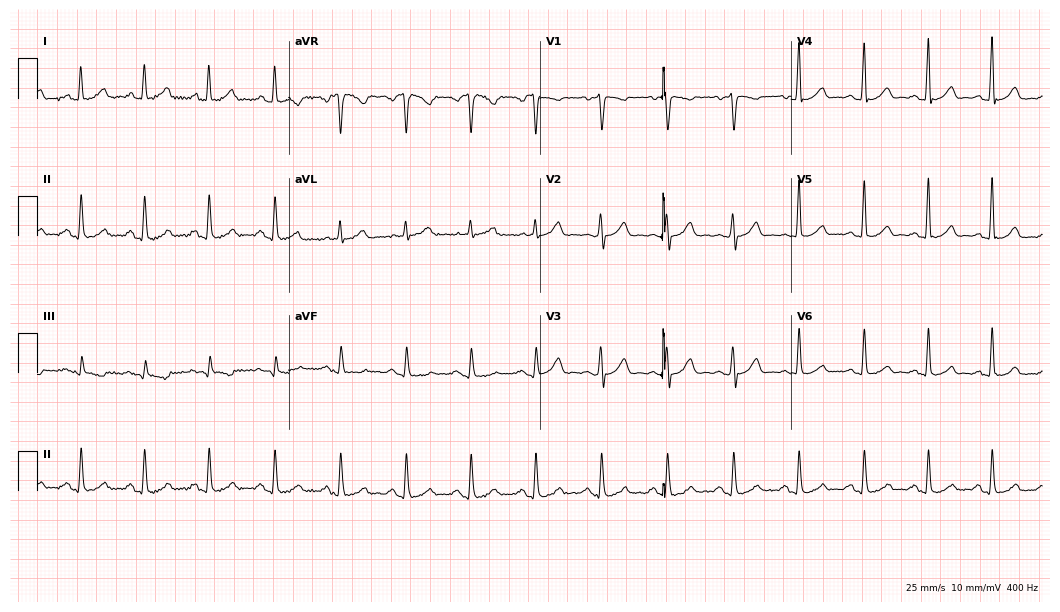
ECG (10.2-second recording at 400 Hz) — a 45-year-old woman. Labelled as a normal ECG.